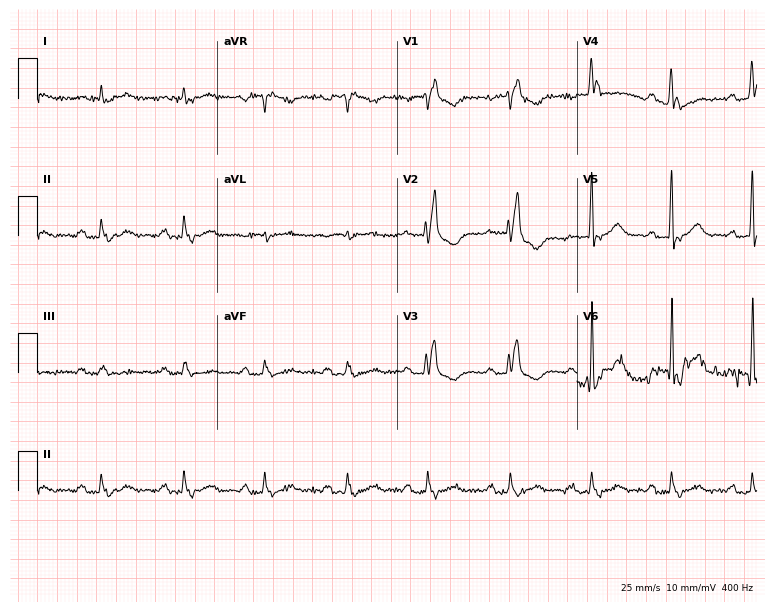
Resting 12-lead electrocardiogram (7.3-second recording at 400 Hz). Patient: a 78-year-old female. The tracing shows right bundle branch block (RBBB).